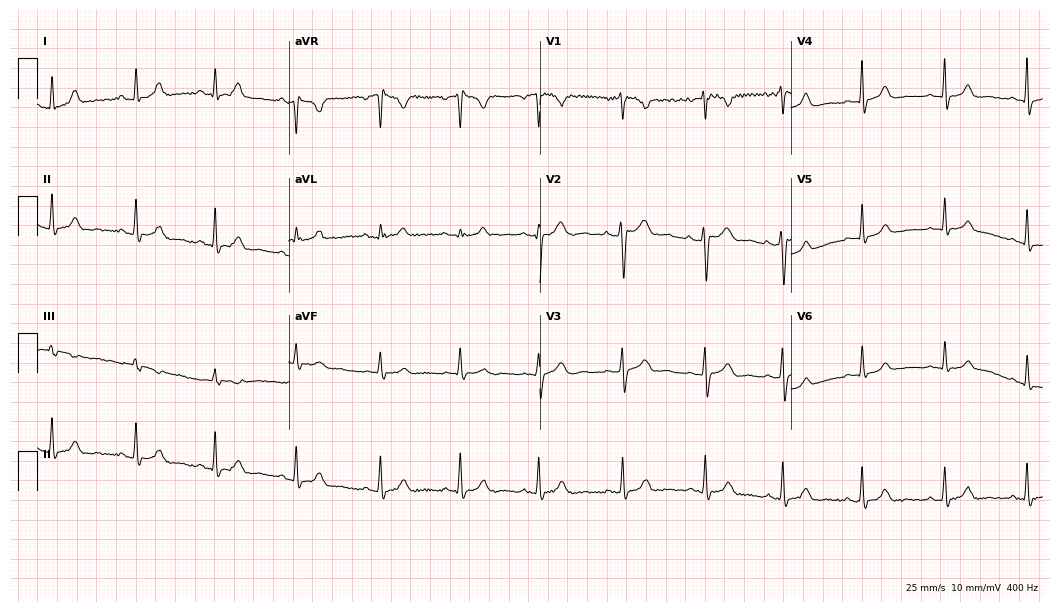
Resting 12-lead electrocardiogram (10.2-second recording at 400 Hz). Patient: a 31-year-old female. Read as a normal ECG.